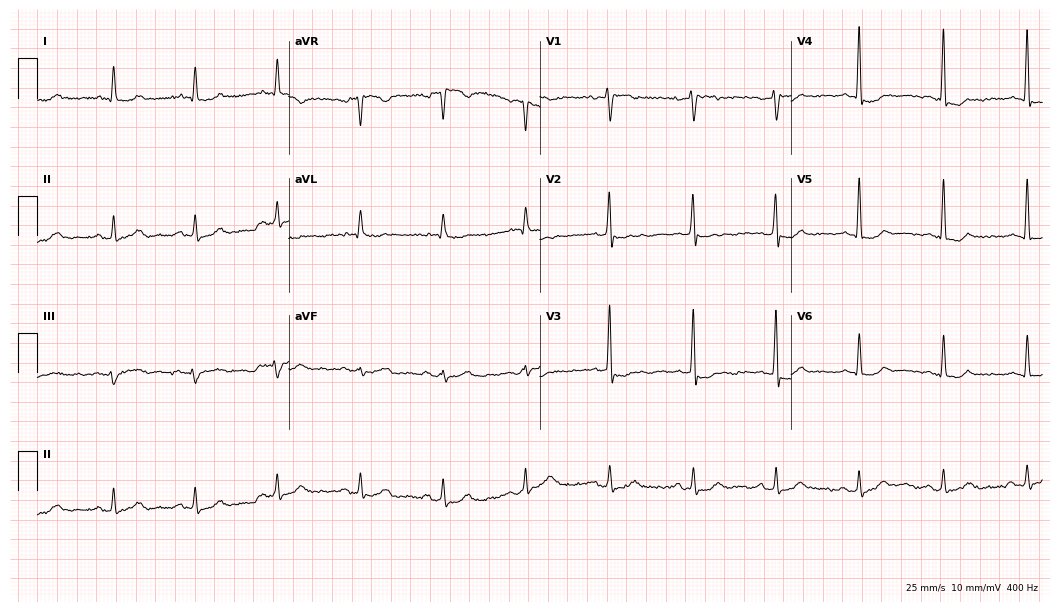
Standard 12-lead ECG recorded from a 73-year-old man. None of these six findings is recorded: first-degree AV block, right bundle branch block, left bundle branch block, sinus bradycardia, atrial fibrillation, sinus tachycardia. Only these six findings were labelled.